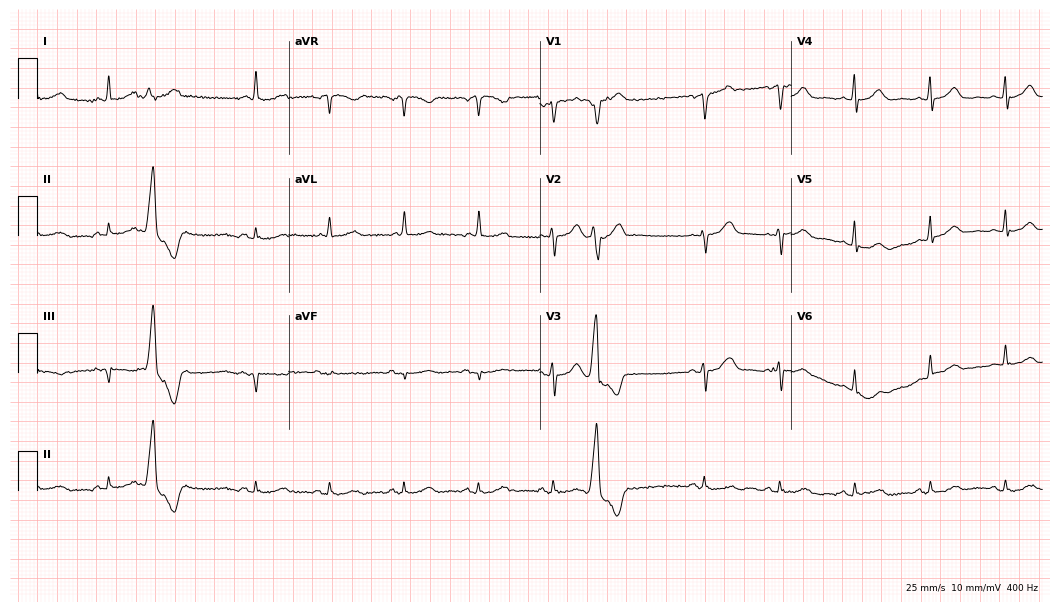
12-lead ECG from a female, 55 years old. Screened for six findings — first-degree AV block, right bundle branch block, left bundle branch block, sinus bradycardia, atrial fibrillation, sinus tachycardia — none is recorded. Findings outside these six are not listed.